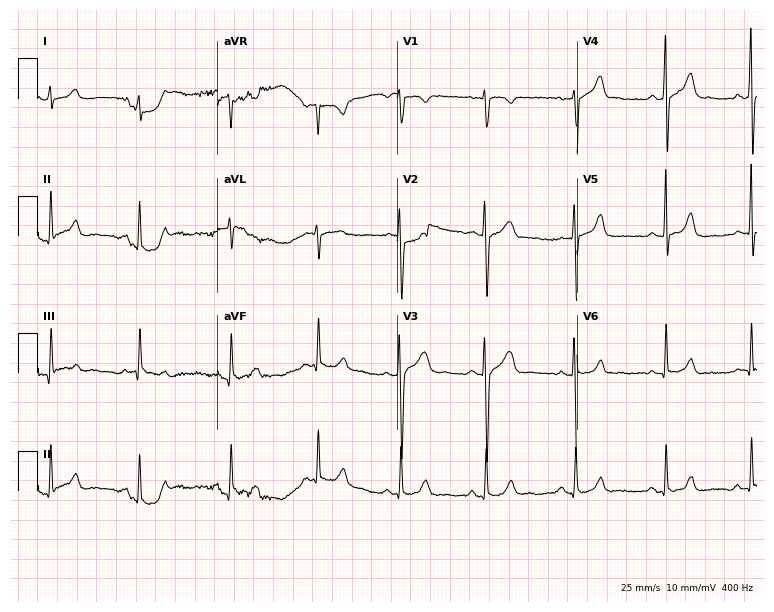
Standard 12-lead ECG recorded from a female patient, 26 years old. Read as a normal ECG.